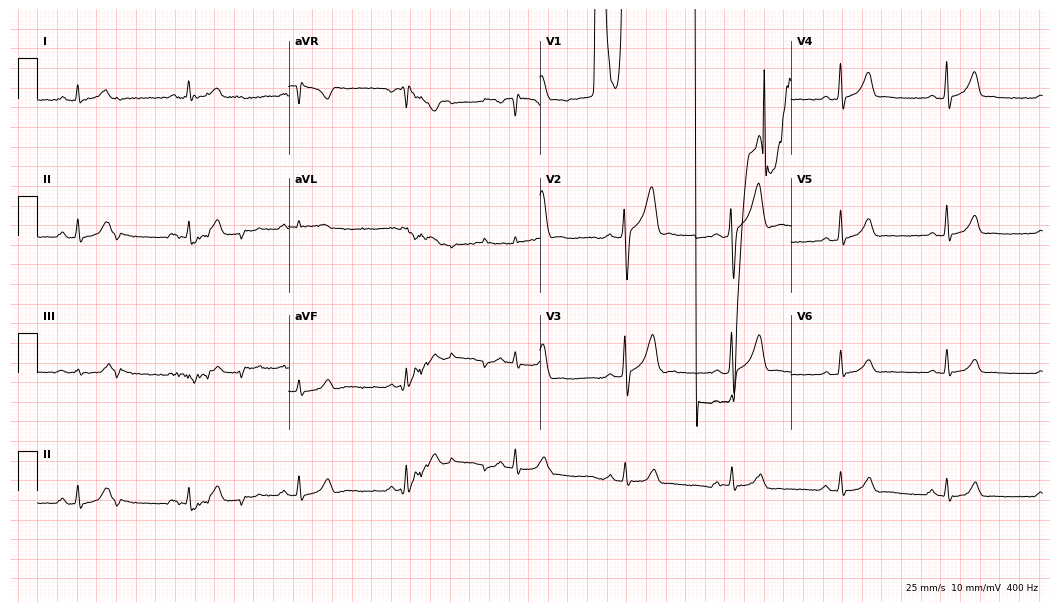
12-lead ECG (10.2-second recording at 400 Hz) from a male patient, 56 years old. Screened for six findings — first-degree AV block, right bundle branch block, left bundle branch block, sinus bradycardia, atrial fibrillation, sinus tachycardia — none is recorded. Only these six findings were labelled.